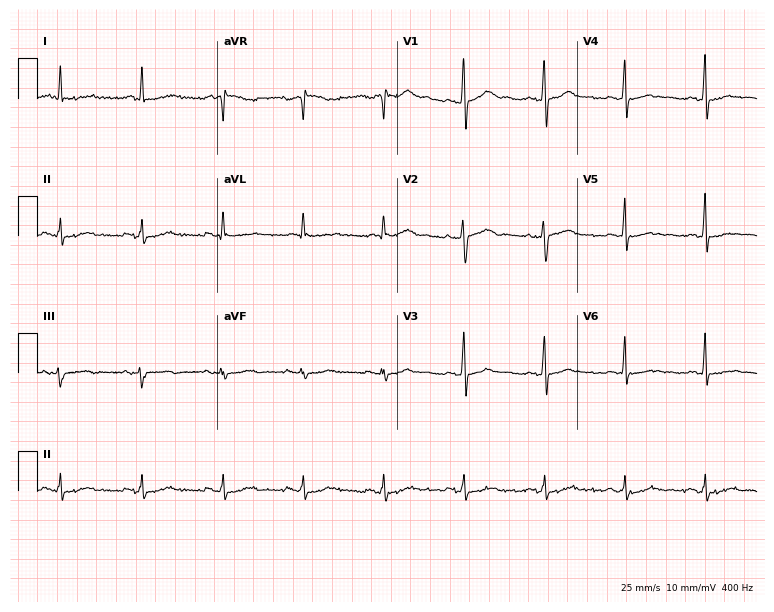
12-lead ECG from a 55-year-old male patient (7.3-second recording at 400 Hz). No first-degree AV block, right bundle branch block, left bundle branch block, sinus bradycardia, atrial fibrillation or sinus tachycardia recorded for this tracing. Other findings, if any, are not listed.